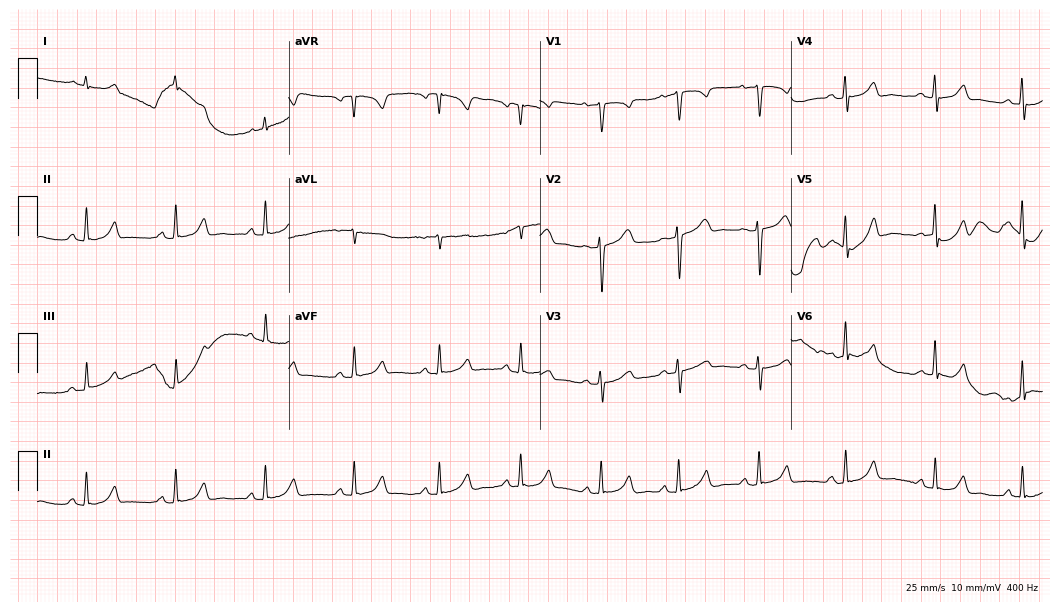
12-lead ECG (10.2-second recording at 400 Hz) from a female patient, 27 years old. Labelled as a normal ECG.